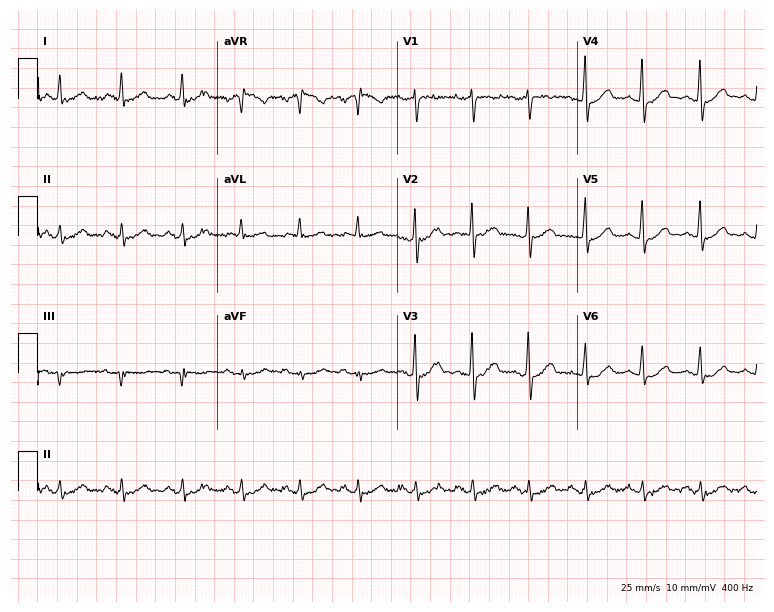
12-lead ECG (7.3-second recording at 400 Hz) from a man, 56 years old. Labelled as a normal ECG.